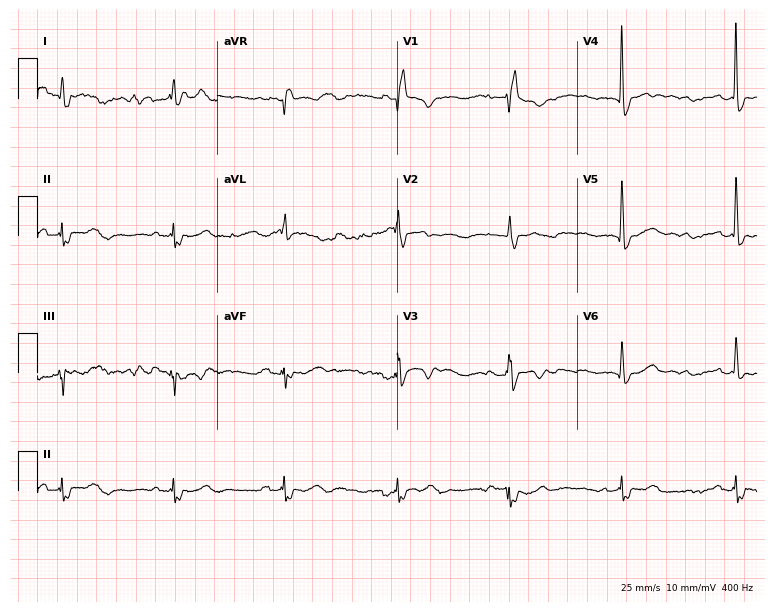
12-lead ECG from a 49-year-old male patient (7.3-second recording at 400 Hz). No first-degree AV block, right bundle branch block (RBBB), left bundle branch block (LBBB), sinus bradycardia, atrial fibrillation (AF) or sinus tachycardia recorded for this tracing. Findings outside these six are not listed.